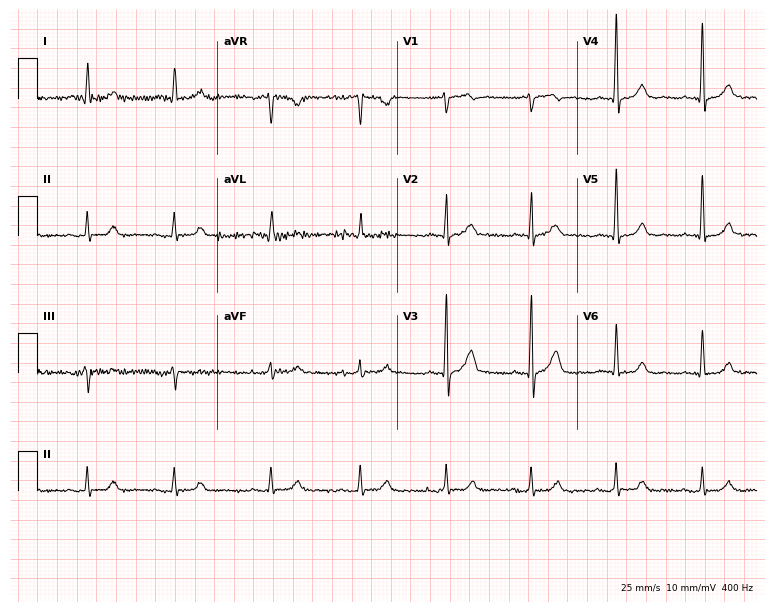
12-lead ECG from a man, 79 years old. Labelled as a normal ECG.